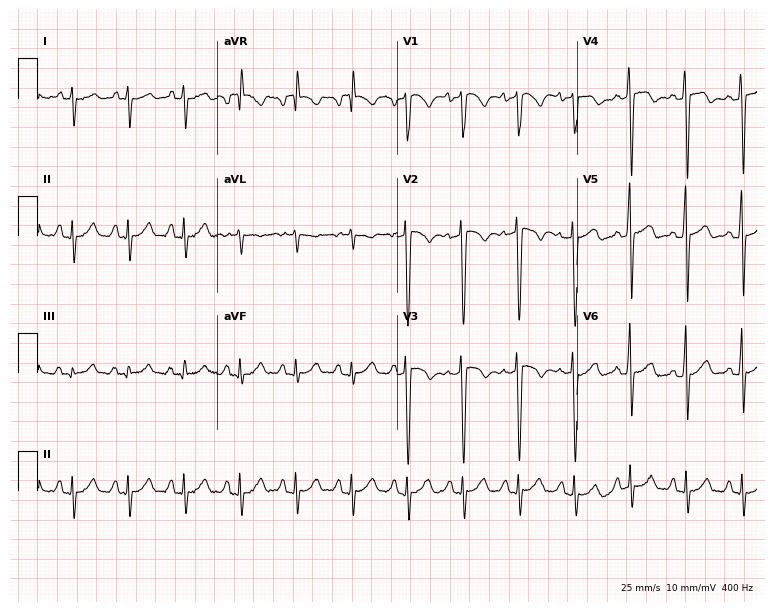
Standard 12-lead ECG recorded from a man, 50 years old (7.3-second recording at 400 Hz). The tracing shows sinus tachycardia (a sinus rate of 100 beats per minute or more).